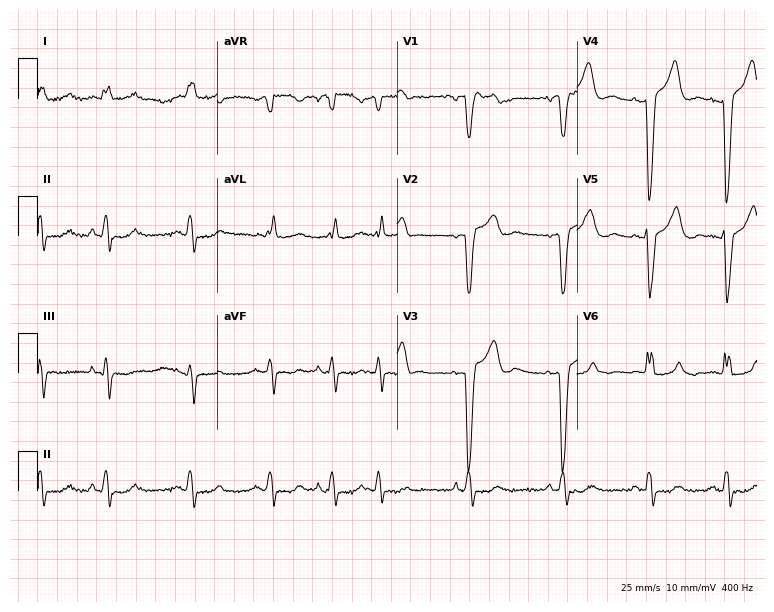
Resting 12-lead electrocardiogram (7.3-second recording at 400 Hz). Patient: a woman, 65 years old. None of these six findings is recorded: first-degree AV block, right bundle branch block, left bundle branch block, sinus bradycardia, atrial fibrillation, sinus tachycardia.